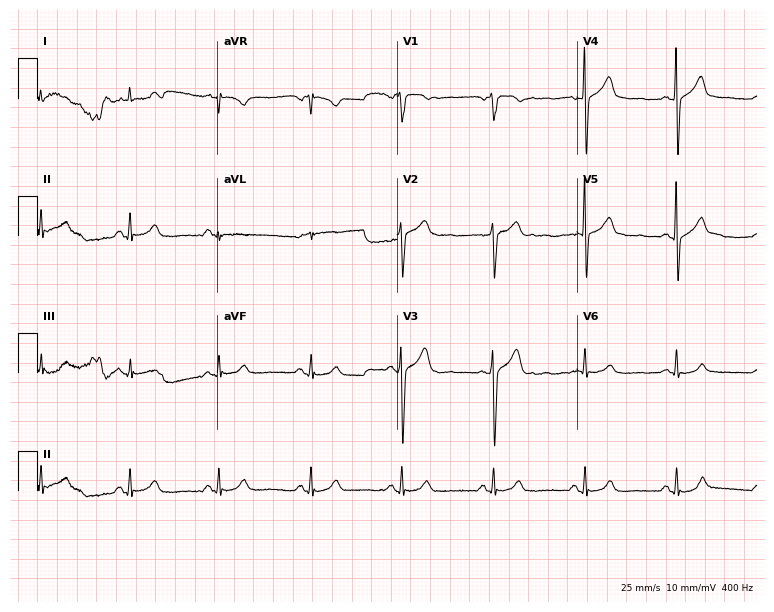
12-lead ECG from a 70-year-old male. Recorded interpretation: within normal limits.